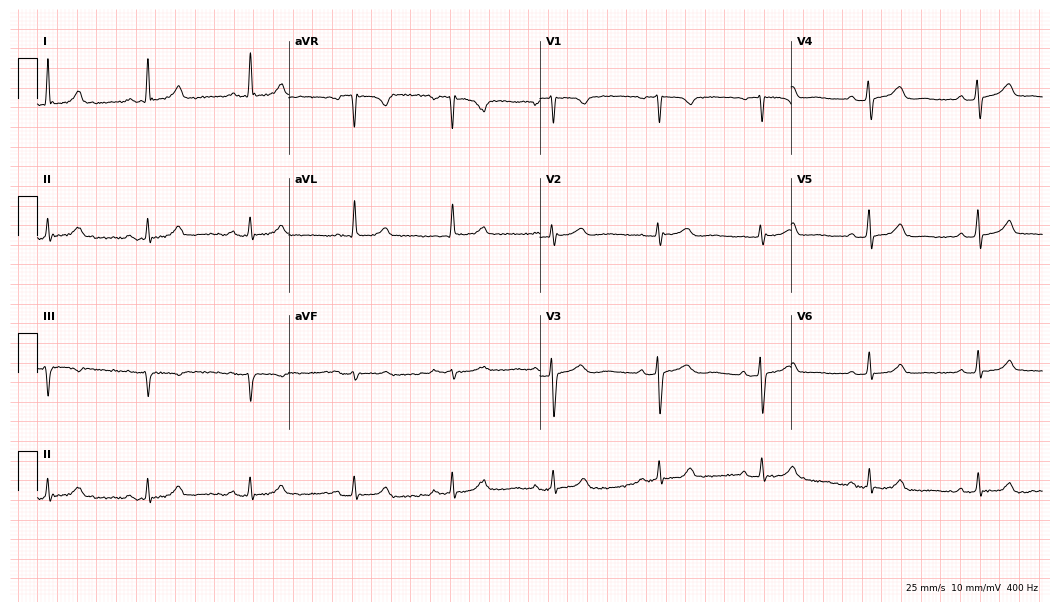
ECG — a 60-year-old female. Labelled as a normal ECG.